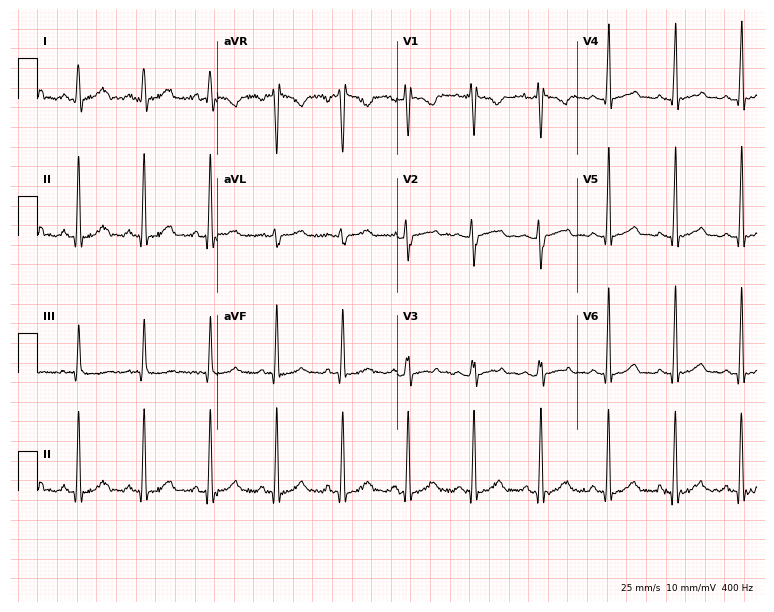
12-lead ECG (7.3-second recording at 400 Hz) from a 24-year-old female patient. Screened for six findings — first-degree AV block, right bundle branch block (RBBB), left bundle branch block (LBBB), sinus bradycardia, atrial fibrillation (AF), sinus tachycardia — none is recorded.